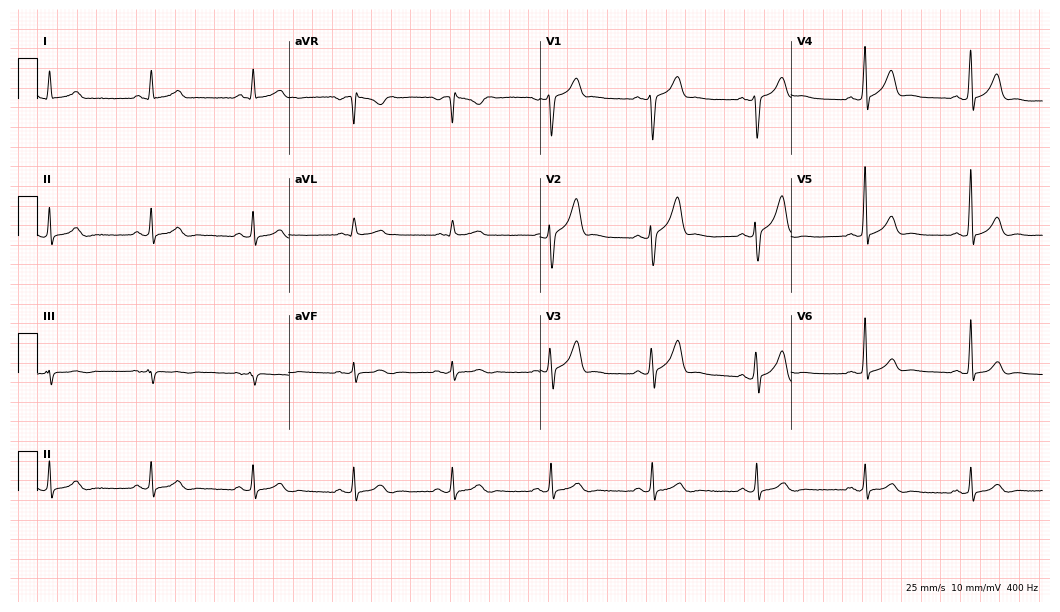
ECG (10.2-second recording at 400 Hz) — a male patient, 60 years old. Labelled as a normal ECG.